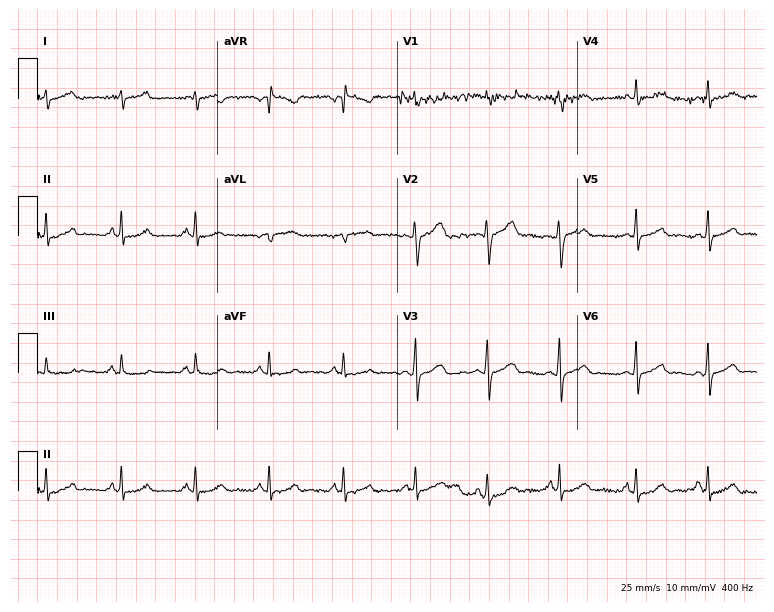
ECG (7.3-second recording at 400 Hz) — a man, 42 years old. Labelled as a normal ECG.